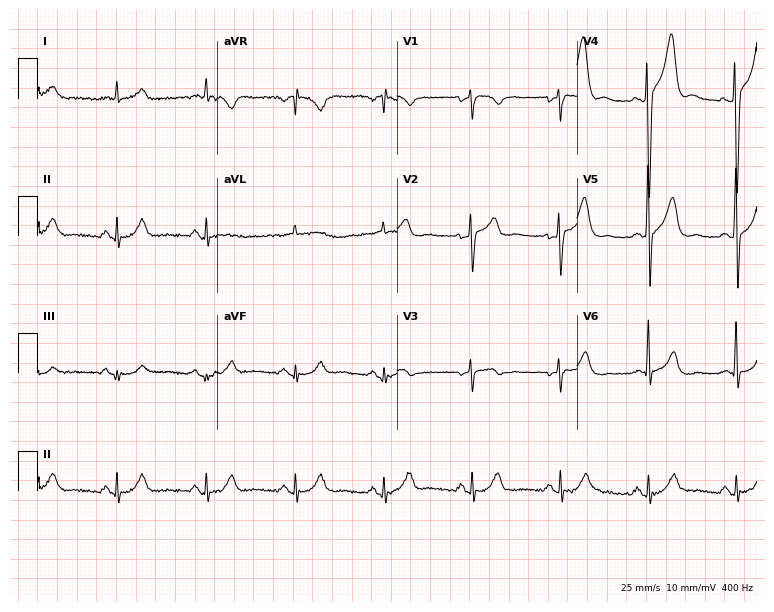
ECG (7.3-second recording at 400 Hz) — a man, 59 years old. Labelled as a normal ECG.